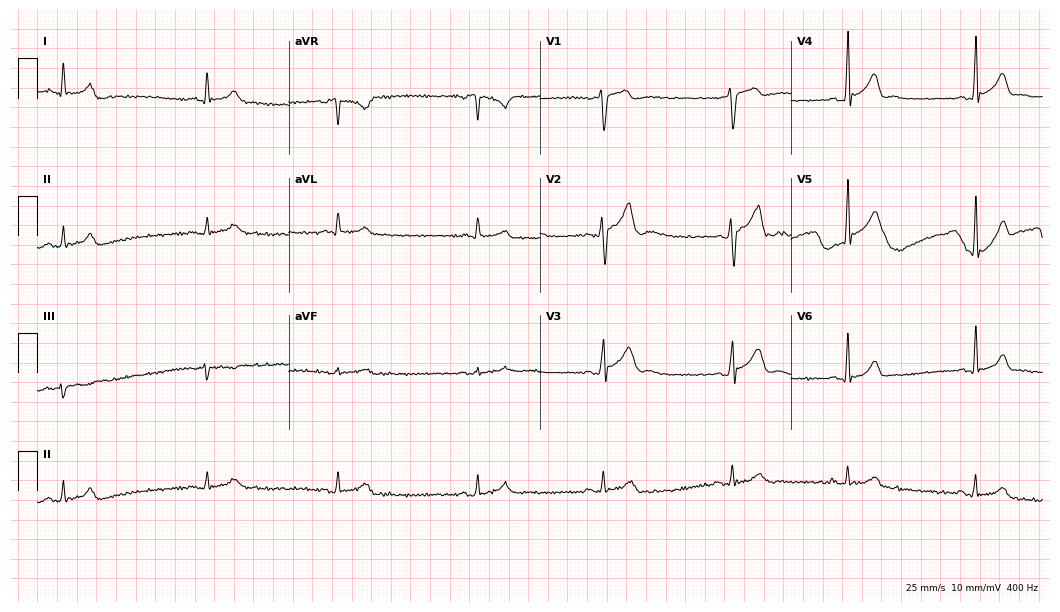
Resting 12-lead electrocardiogram. Patient: a 22-year-old male. The tracing shows sinus bradycardia (a sinus rate of 50 beats per minute or less).